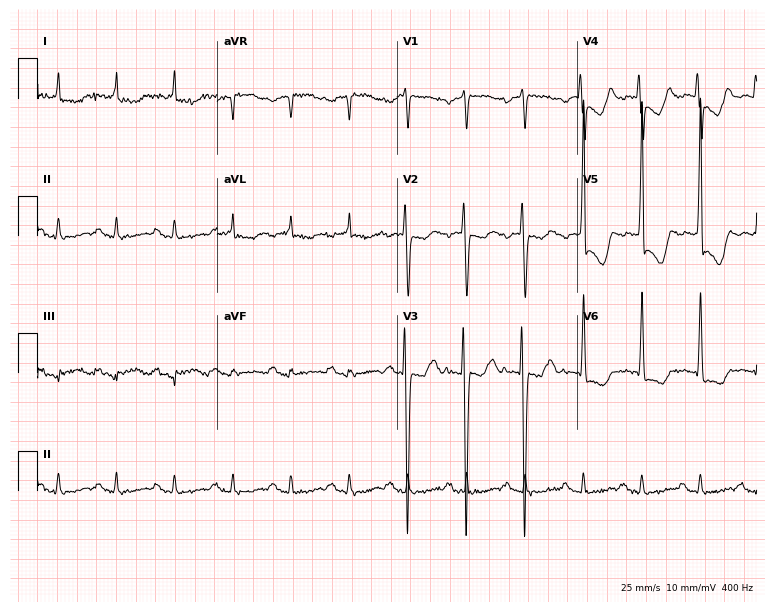
Electrocardiogram, a woman, 51 years old. Of the six screened findings (first-degree AV block, right bundle branch block, left bundle branch block, sinus bradycardia, atrial fibrillation, sinus tachycardia), none is recorded. Findings outside these six are not listed.